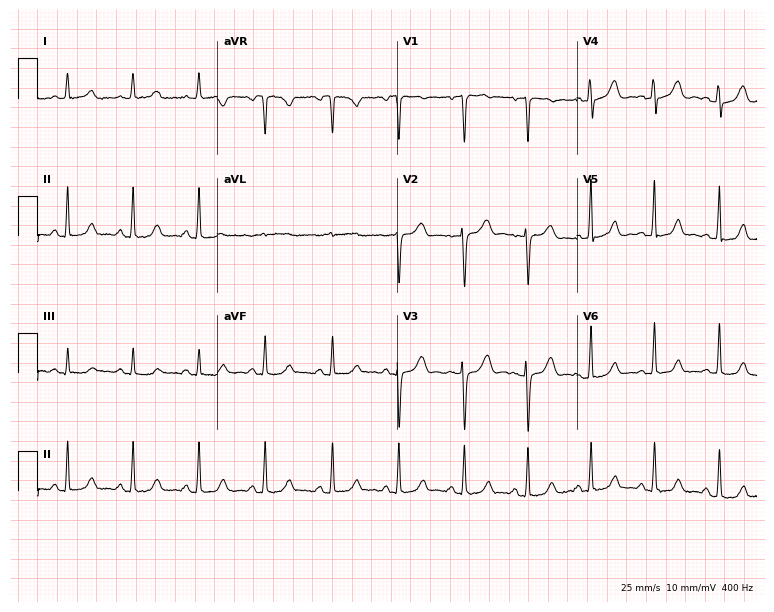
Standard 12-lead ECG recorded from a 49-year-old female patient. None of these six findings is recorded: first-degree AV block, right bundle branch block (RBBB), left bundle branch block (LBBB), sinus bradycardia, atrial fibrillation (AF), sinus tachycardia. Other findings, if any, are not listed.